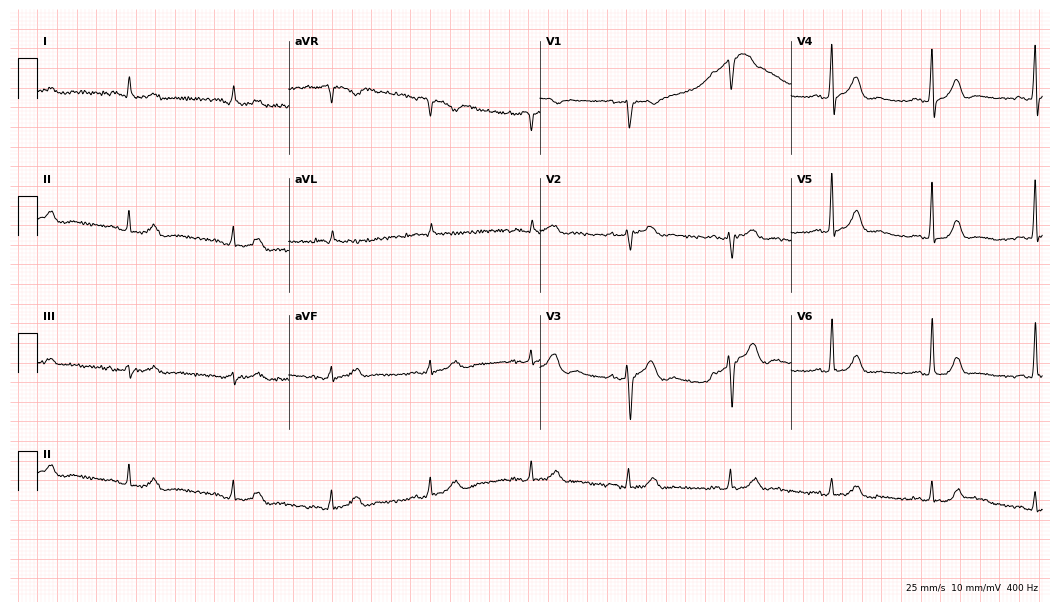
ECG (10.2-second recording at 400 Hz) — a 61-year-old male. Screened for six findings — first-degree AV block, right bundle branch block, left bundle branch block, sinus bradycardia, atrial fibrillation, sinus tachycardia — none is recorded.